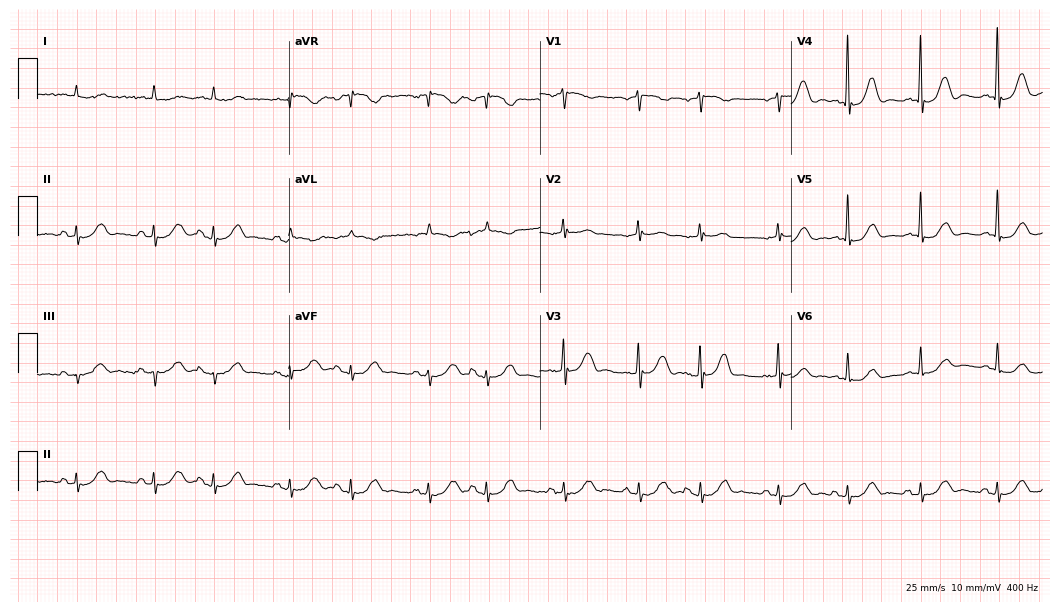
12-lead ECG from a female, 85 years old. No first-degree AV block, right bundle branch block, left bundle branch block, sinus bradycardia, atrial fibrillation or sinus tachycardia recorded for this tracing.